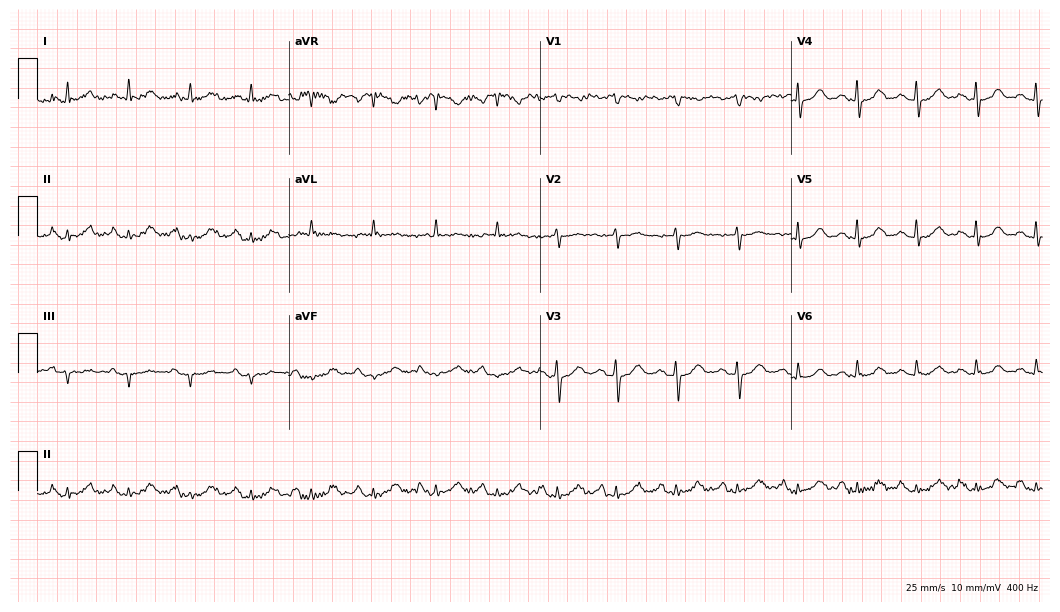
Electrocardiogram, a female patient, 66 years old. Of the six screened findings (first-degree AV block, right bundle branch block (RBBB), left bundle branch block (LBBB), sinus bradycardia, atrial fibrillation (AF), sinus tachycardia), none is recorded. Findings outside these six are not listed.